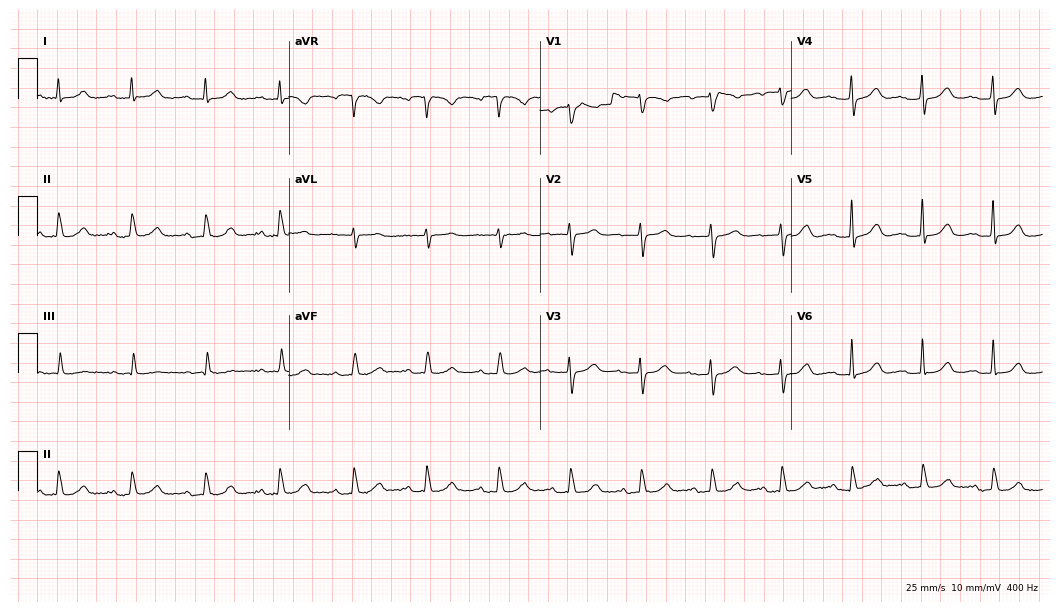
12-lead ECG (10.2-second recording at 400 Hz) from an 84-year-old female. Screened for six findings — first-degree AV block, right bundle branch block, left bundle branch block, sinus bradycardia, atrial fibrillation, sinus tachycardia — none is recorded.